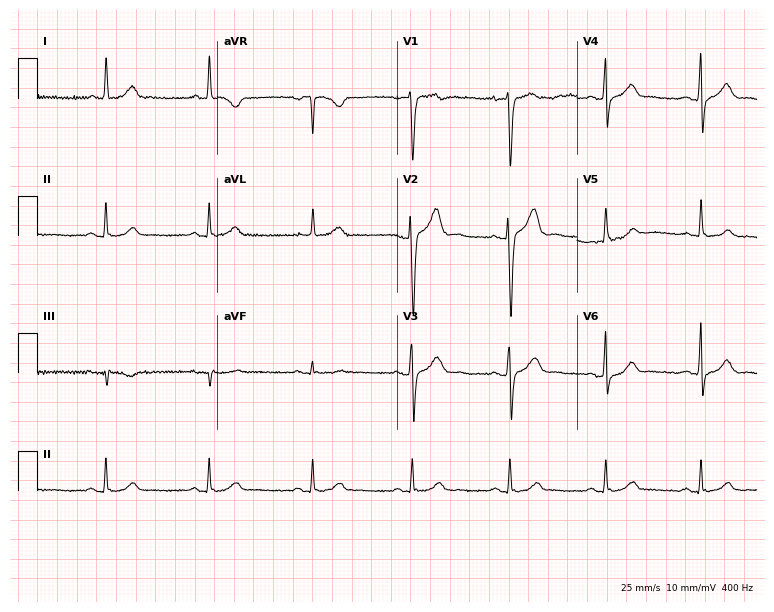
12-lead ECG from a 39-year-old male. Recorded interpretation: within normal limits.